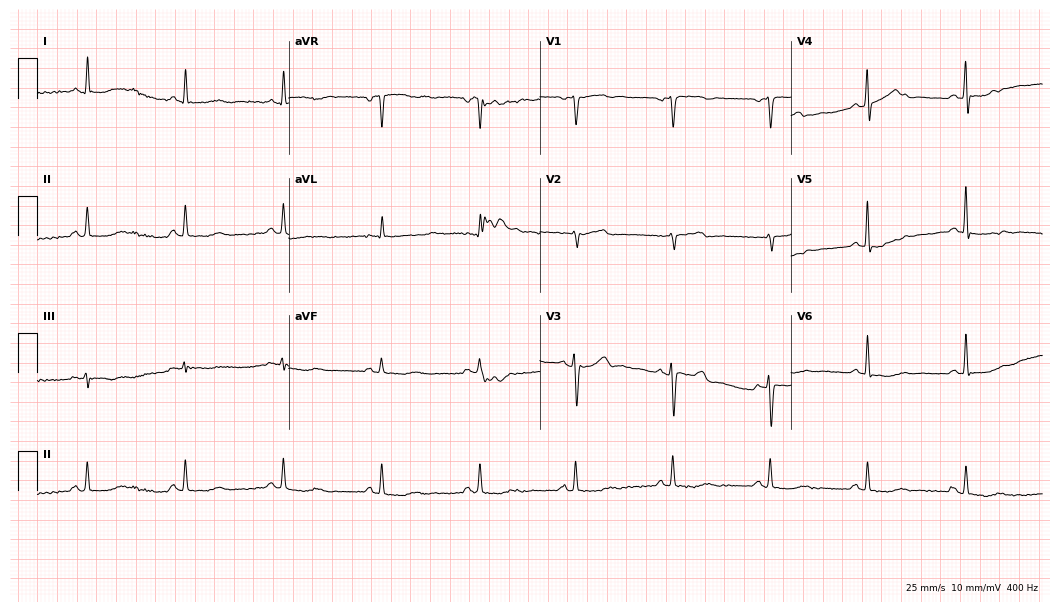
Resting 12-lead electrocardiogram (10.2-second recording at 400 Hz). Patient: a 71-year-old male. None of these six findings is recorded: first-degree AV block, right bundle branch block, left bundle branch block, sinus bradycardia, atrial fibrillation, sinus tachycardia. Findings outside these six are not listed.